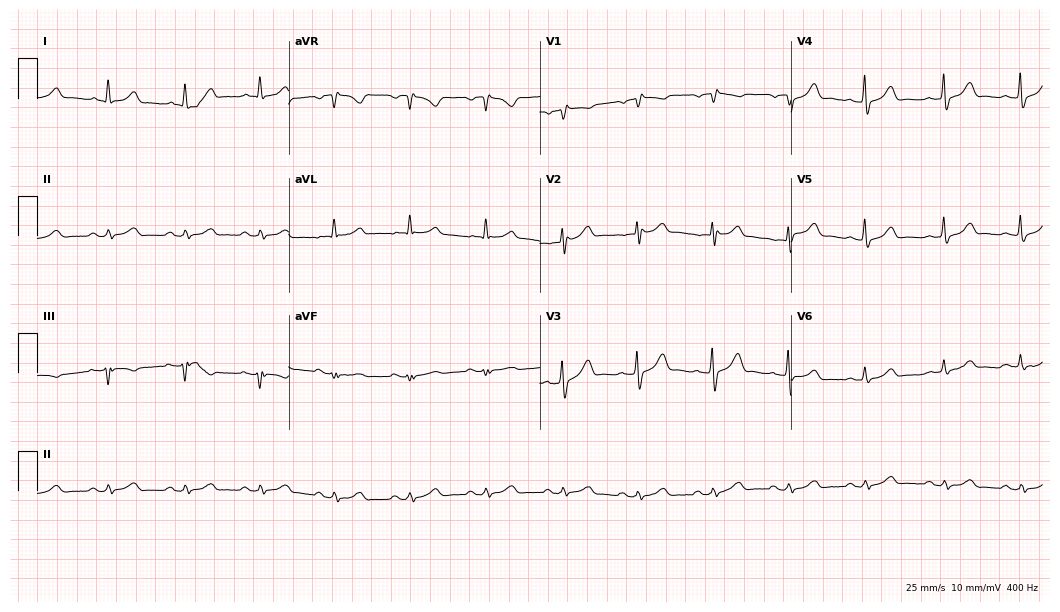
Electrocardiogram, a male patient, 50 years old. Overall reading on record: normal ECG.